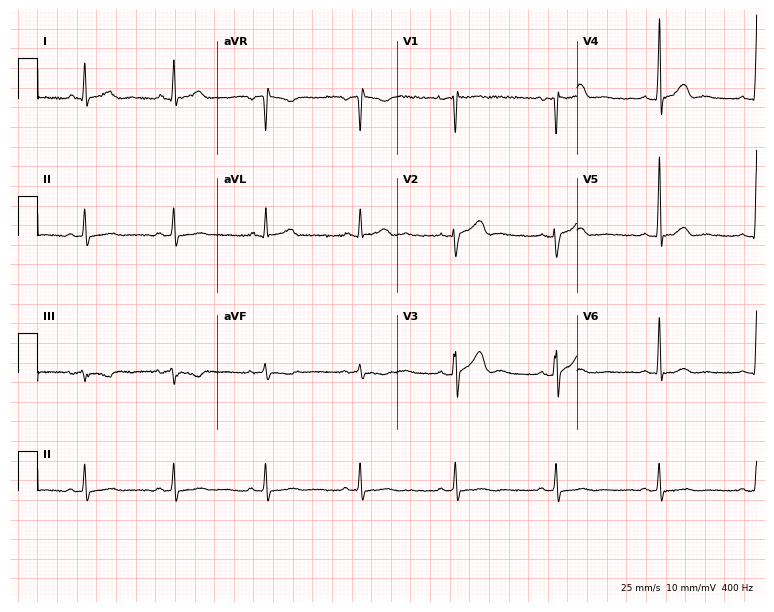
Electrocardiogram, a male, 47 years old. Of the six screened findings (first-degree AV block, right bundle branch block (RBBB), left bundle branch block (LBBB), sinus bradycardia, atrial fibrillation (AF), sinus tachycardia), none is recorded.